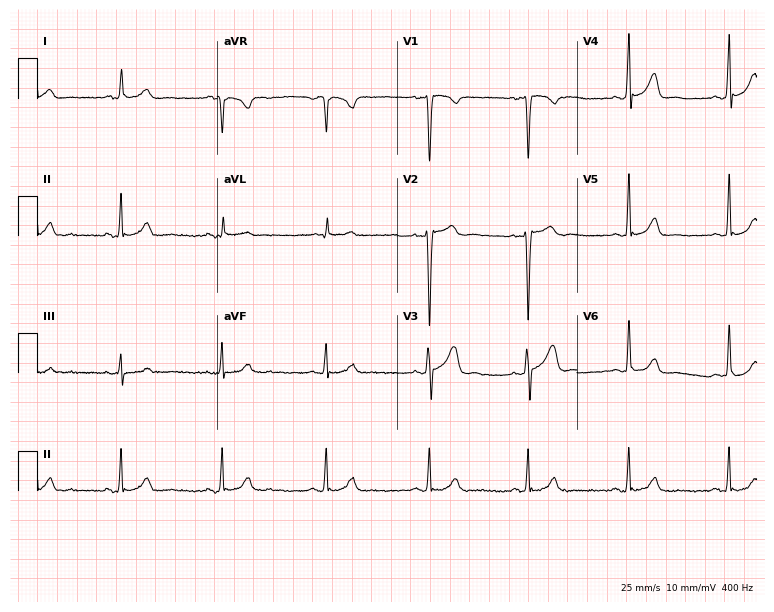
12-lead ECG from a 31-year-old male. Recorded interpretation: within normal limits.